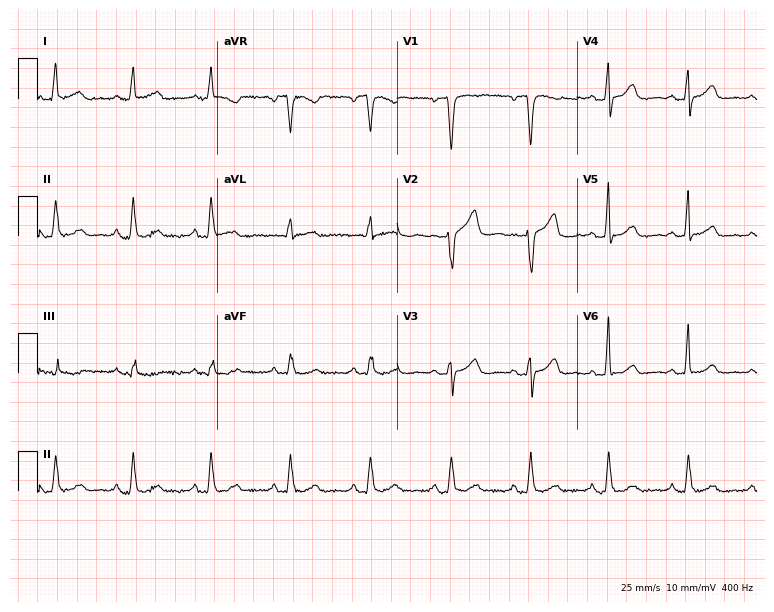
Electrocardiogram, a woman, 53 years old. Overall reading on record: normal ECG.